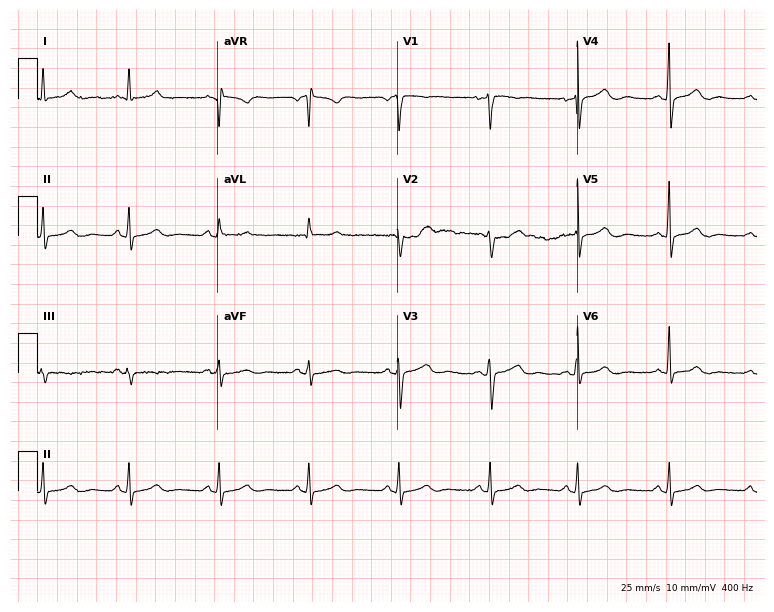
ECG (7.3-second recording at 400 Hz) — a woman, 52 years old. Labelled as a normal ECG.